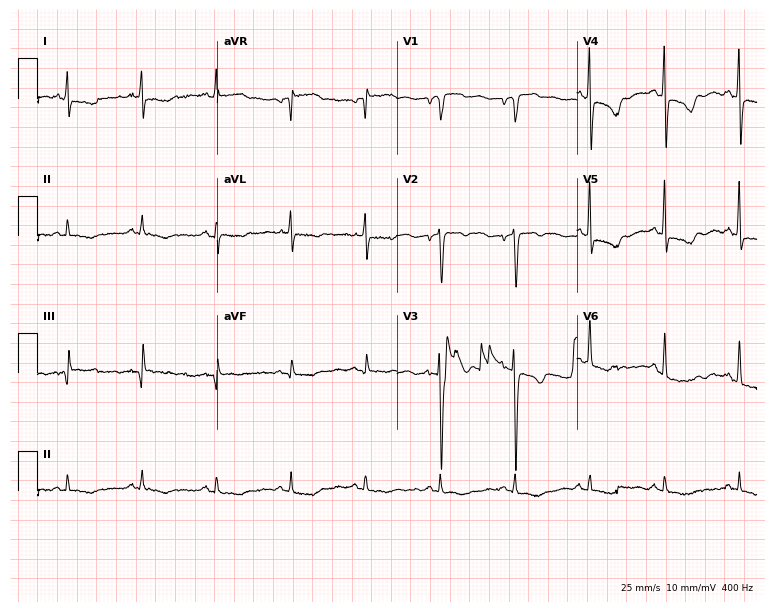
Resting 12-lead electrocardiogram (7.3-second recording at 400 Hz). Patient: a female, 71 years old. None of these six findings is recorded: first-degree AV block, right bundle branch block, left bundle branch block, sinus bradycardia, atrial fibrillation, sinus tachycardia.